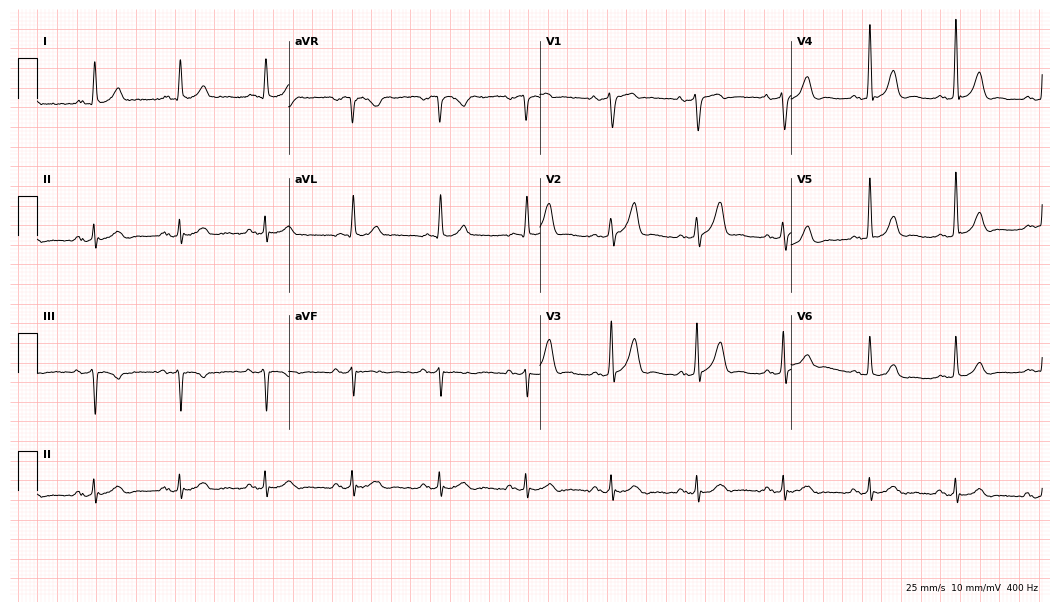
Standard 12-lead ECG recorded from a 74-year-old man (10.2-second recording at 400 Hz). Read as a normal ECG.